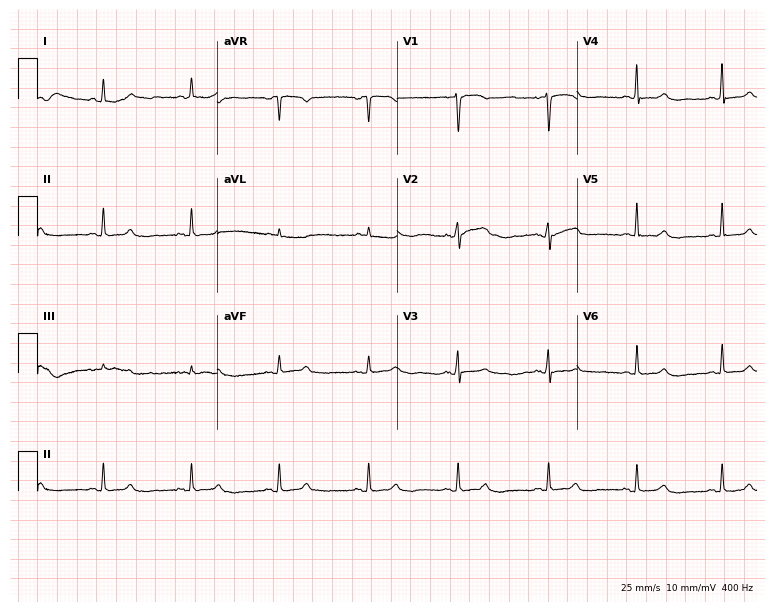
ECG — a 63-year-old female patient. Labelled as a normal ECG.